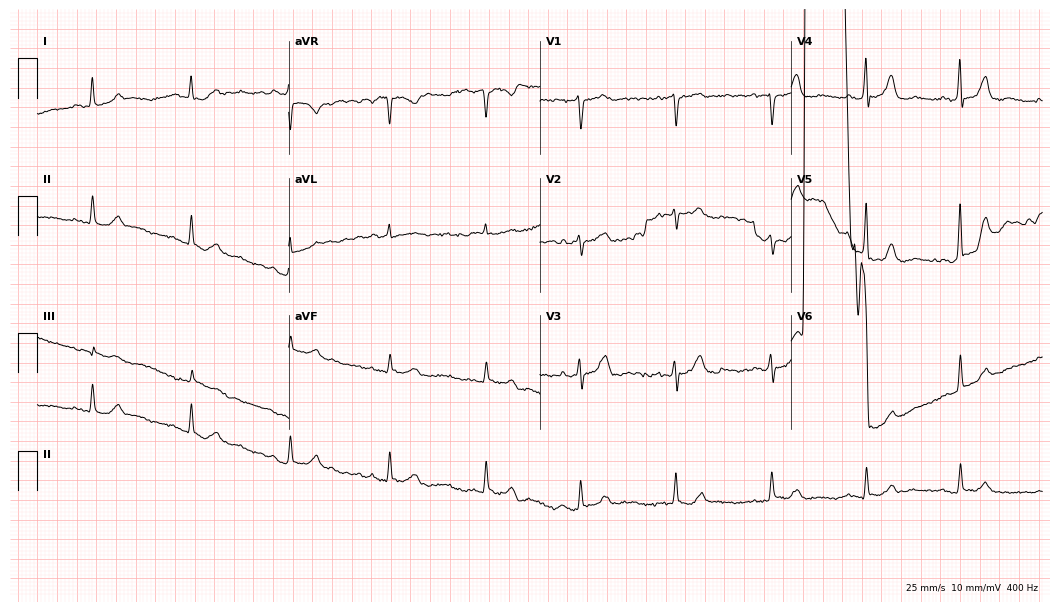
12-lead ECG from a man, 67 years old (10.2-second recording at 400 Hz). No first-degree AV block, right bundle branch block (RBBB), left bundle branch block (LBBB), sinus bradycardia, atrial fibrillation (AF) or sinus tachycardia recorded for this tracing. Findings outside these six are not listed.